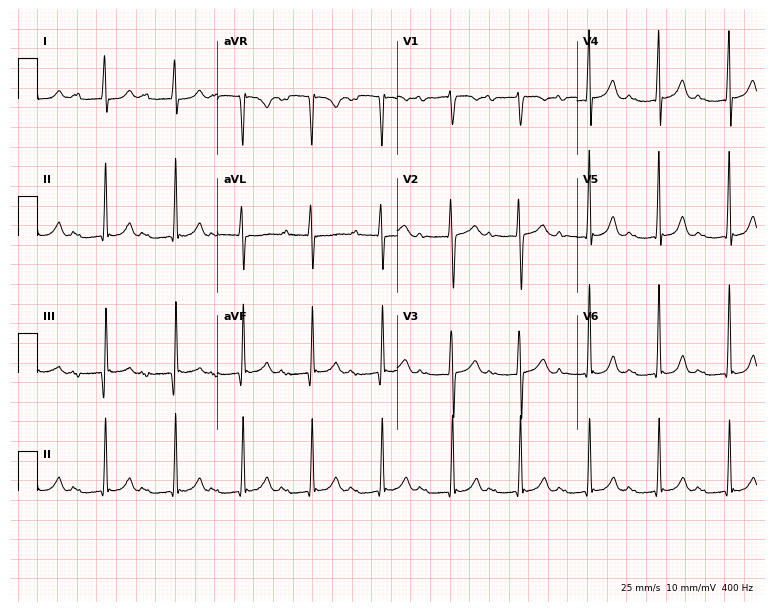
Electrocardiogram, a female, 26 years old. Interpretation includes first-degree AV block.